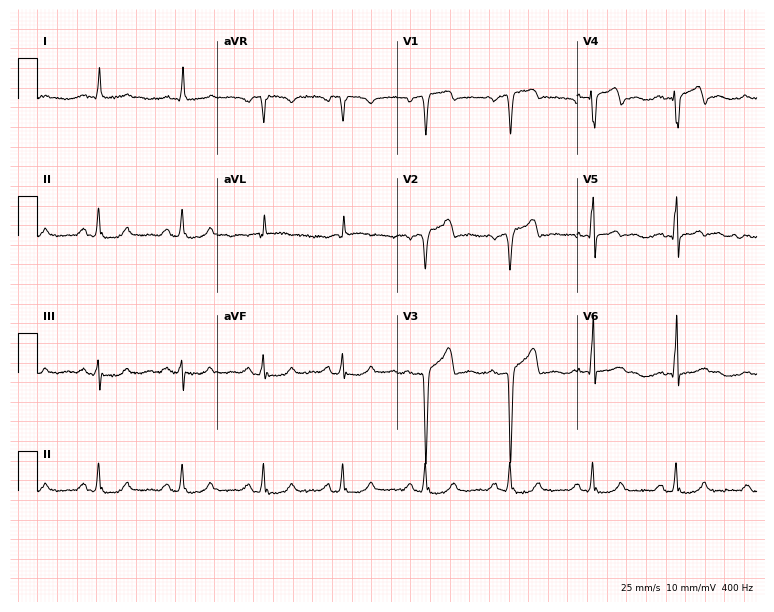
12-lead ECG from a 54-year-old man (7.3-second recording at 400 Hz). No first-degree AV block, right bundle branch block, left bundle branch block, sinus bradycardia, atrial fibrillation or sinus tachycardia recorded for this tracing.